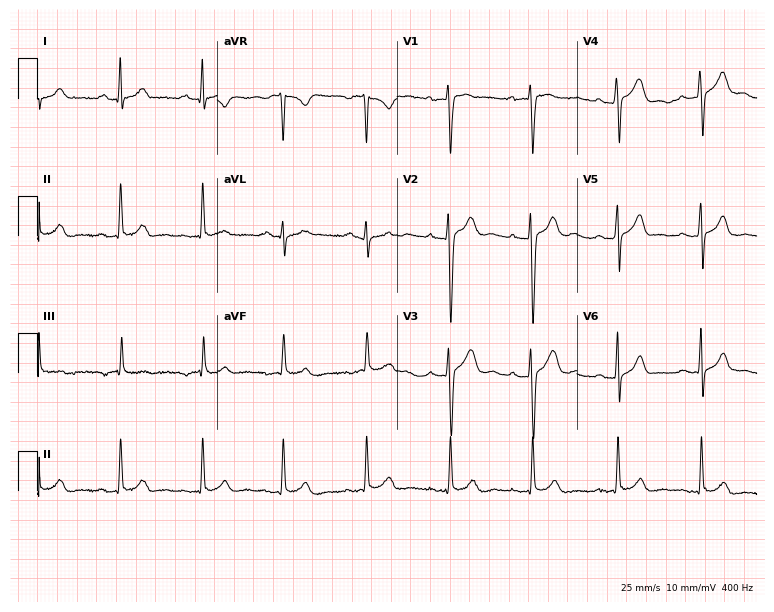
Resting 12-lead electrocardiogram (7.3-second recording at 400 Hz). Patient: a 22-year-old male. None of these six findings is recorded: first-degree AV block, right bundle branch block (RBBB), left bundle branch block (LBBB), sinus bradycardia, atrial fibrillation (AF), sinus tachycardia.